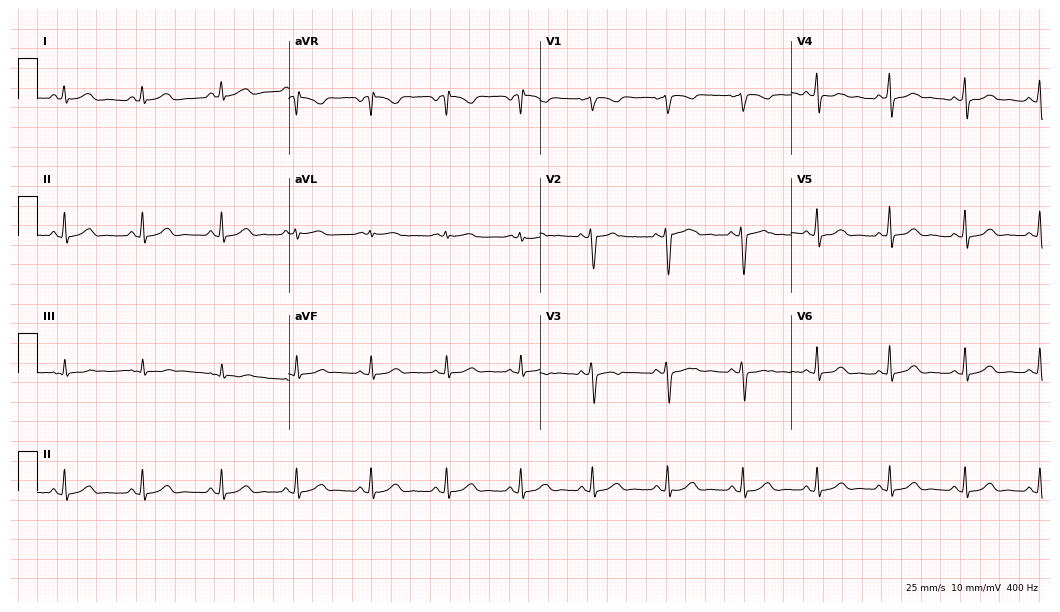
Standard 12-lead ECG recorded from a 43-year-old female patient. Read as a normal ECG.